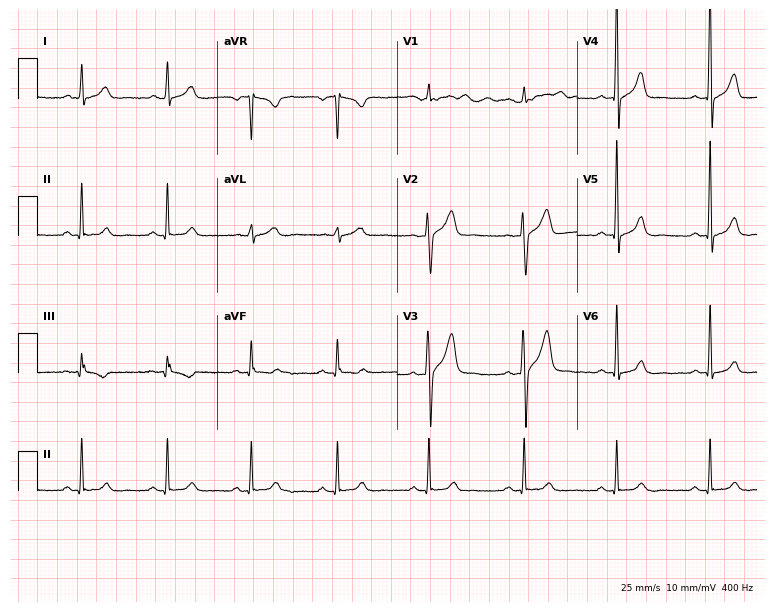
Standard 12-lead ECG recorded from a man, 51 years old (7.3-second recording at 400 Hz). Read as a normal ECG.